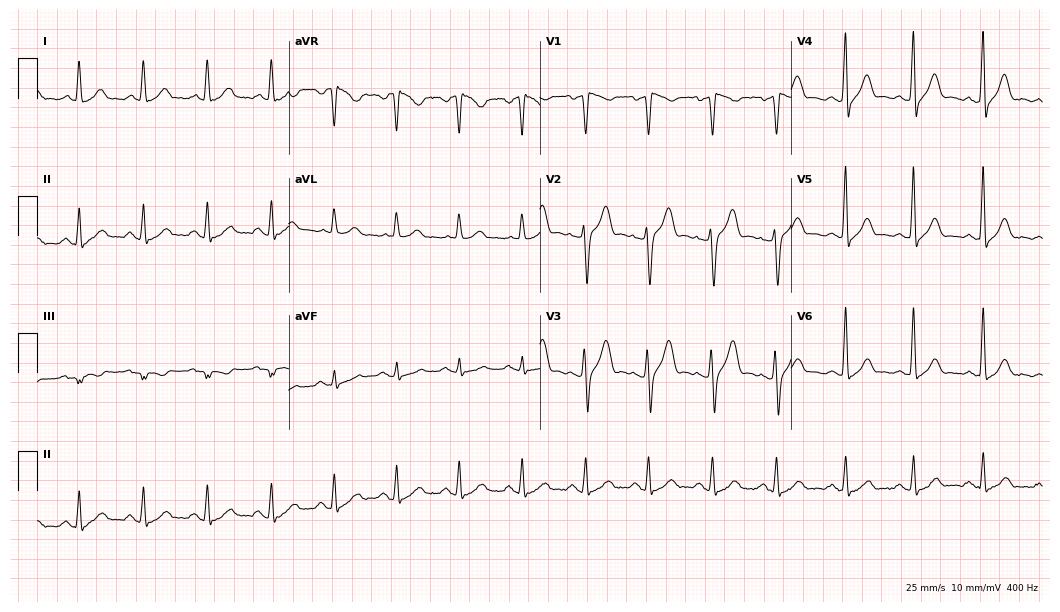
12-lead ECG (10.2-second recording at 400 Hz) from a male, 46 years old. Screened for six findings — first-degree AV block, right bundle branch block, left bundle branch block, sinus bradycardia, atrial fibrillation, sinus tachycardia — none is recorded. Findings outside these six are not listed.